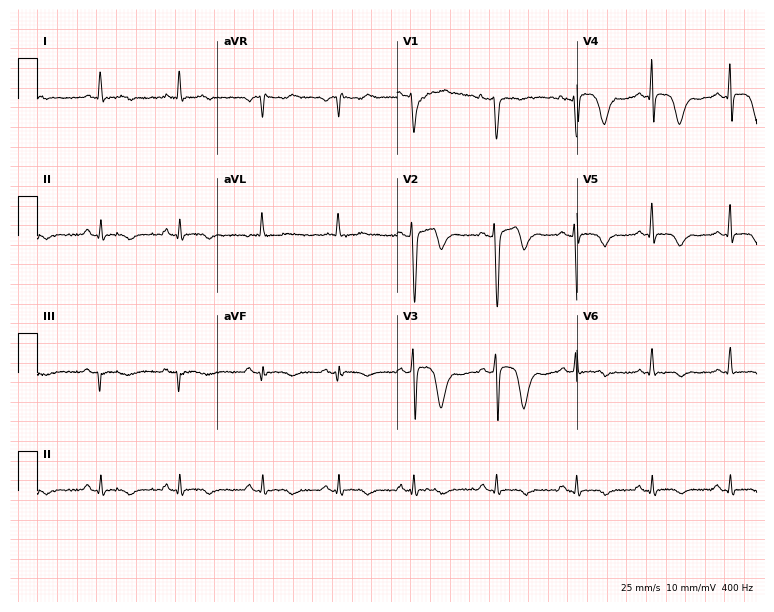
Standard 12-lead ECG recorded from a female, 45 years old (7.3-second recording at 400 Hz). Read as a normal ECG.